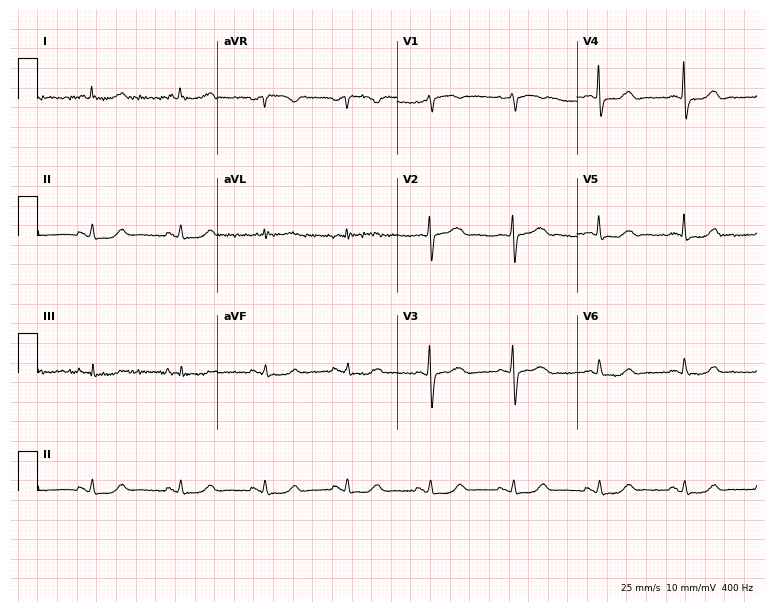
ECG (7.3-second recording at 400 Hz) — a female patient, 71 years old. Labelled as a normal ECG.